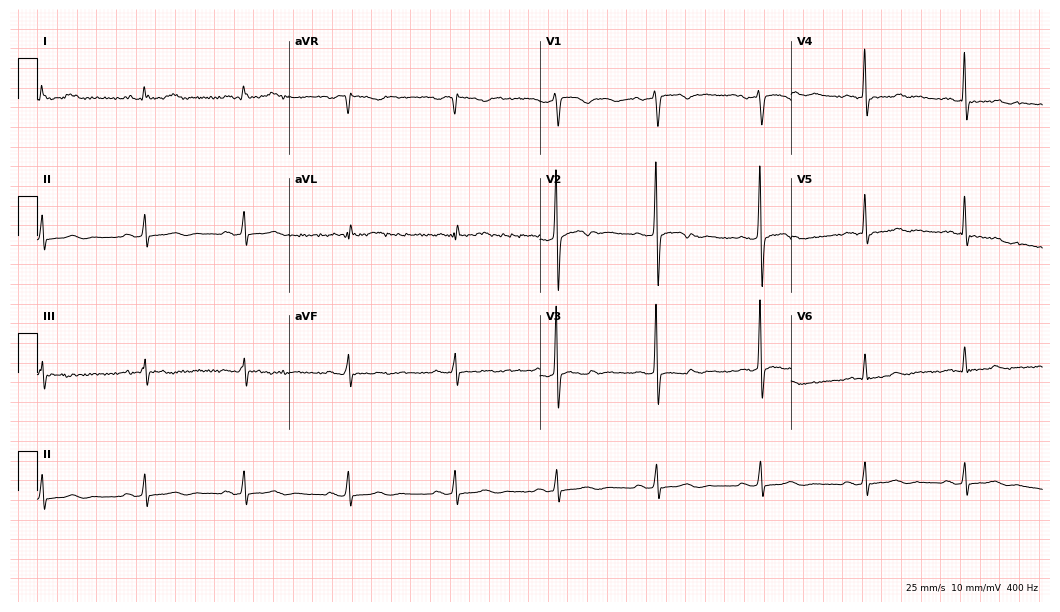
12-lead ECG from a male, 36 years old. No first-degree AV block, right bundle branch block, left bundle branch block, sinus bradycardia, atrial fibrillation or sinus tachycardia recorded for this tracing.